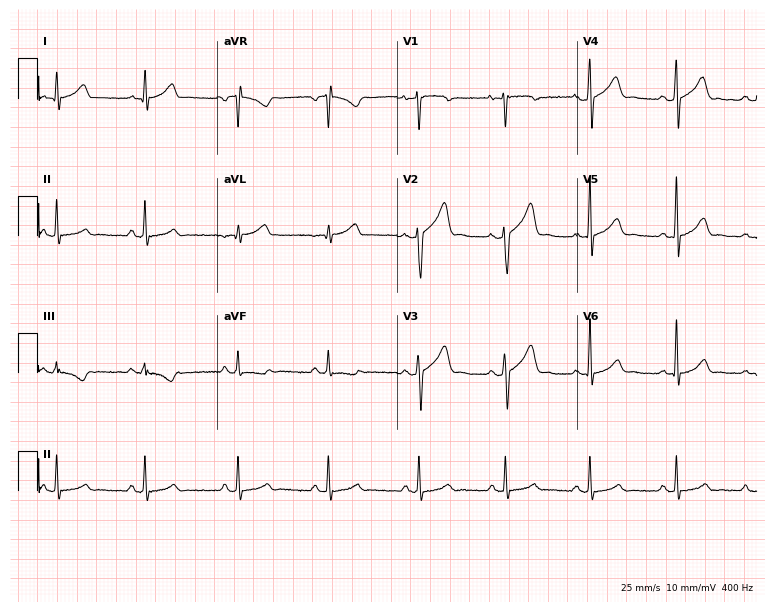
12-lead ECG from a 28-year-old man. Labelled as a normal ECG.